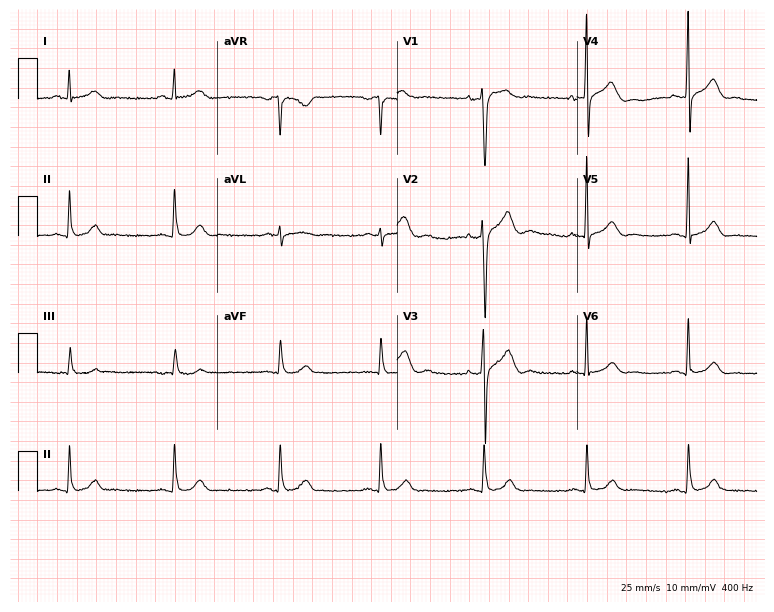
ECG (7.3-second recording at 400 Hz) — a 52-year-old male. Labelled as a normal ECG.